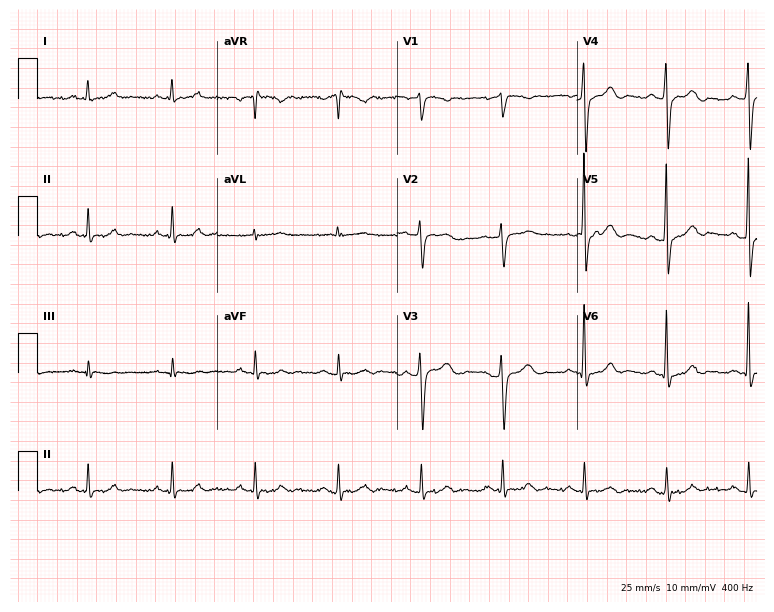
Electrocardiogram (7.3-second recording at 400 Hz), a man, 75 years old. Of the six screened findings (first-degree AV block, right bundle branch block (RBBB), left bundle branch block (LBBB), sinus bradycardia, atrial fibrillation (AF), sinus tachycardia), none is recorded. Only these six findings were labelled.